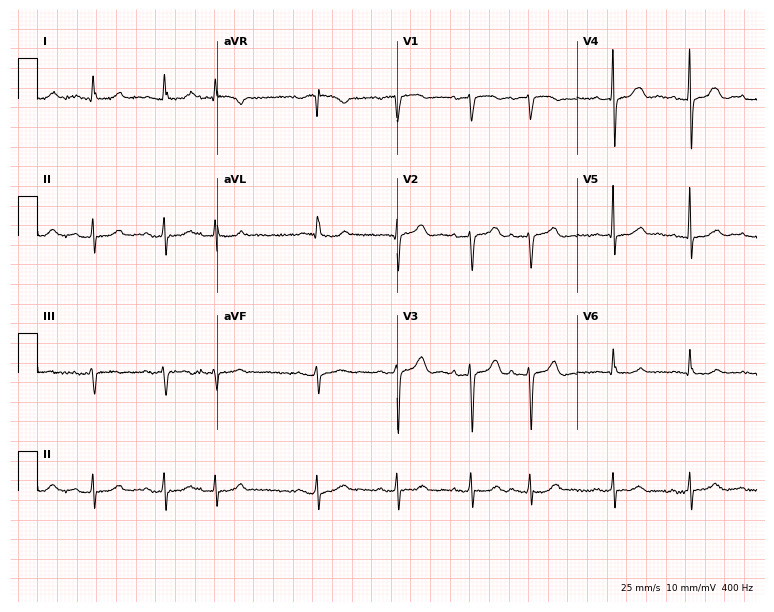
Standard 12-lead ECG recorded from a female, 84 years old (7.3-second recording at 400 Hz). None of these six findings is recorded: first-degree AV block, right bundle branch block (RBBB), left bundle branch block (LBBB), sinus bradycardia, atrial fibrillation (AF), sinus tachycardia.